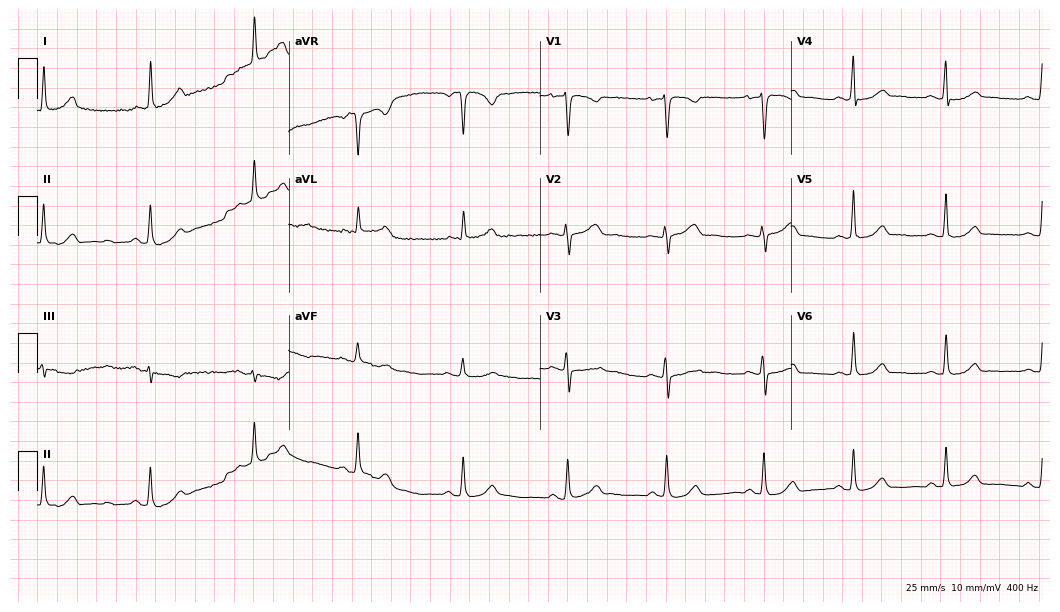
12-lead ECG from a 58-year-old female. Screened for six findings — first-degree AV block, right bundle branch block, left bundle branch block, sinus bradycardia, atrial fibrillation, sinus tachycardia — none is recorded. Other findings, if any, are not listed.